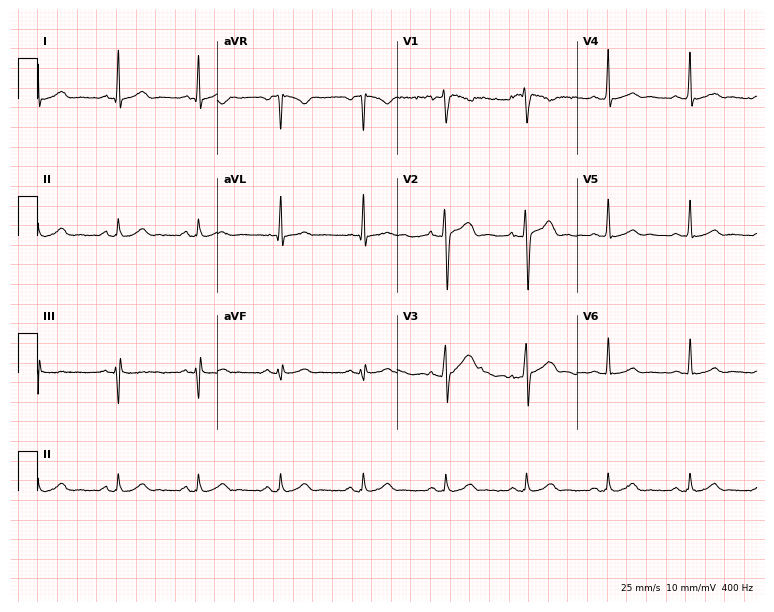
Electrocardiogram (7.3-second recording at 400 Hz), a male patient, 25 years old. Overall reading on record: normal ECG.